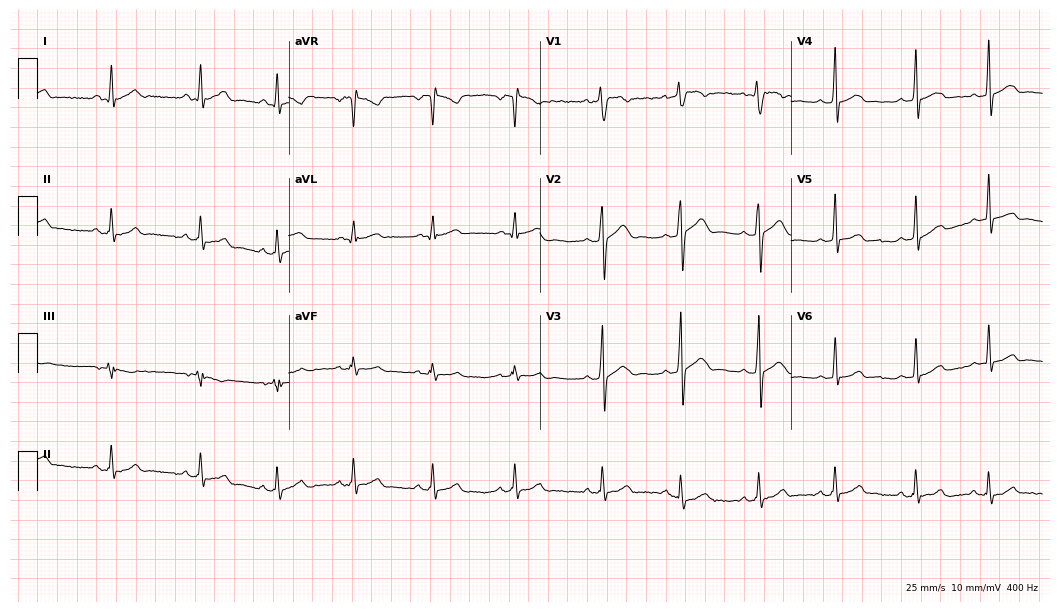
12-lead ECG (10.2-second recording at 400 Hz) from an 18-year-old male patient. Labelled as a normal ECG.